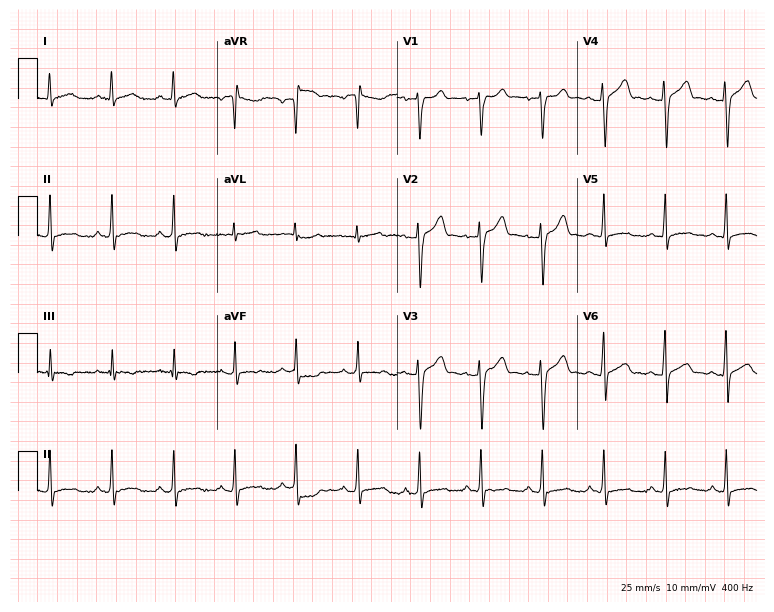
ECG (7.3-second recording at 400 Hz) — a 27-year-old male patient. Labelled as a normal ECG.